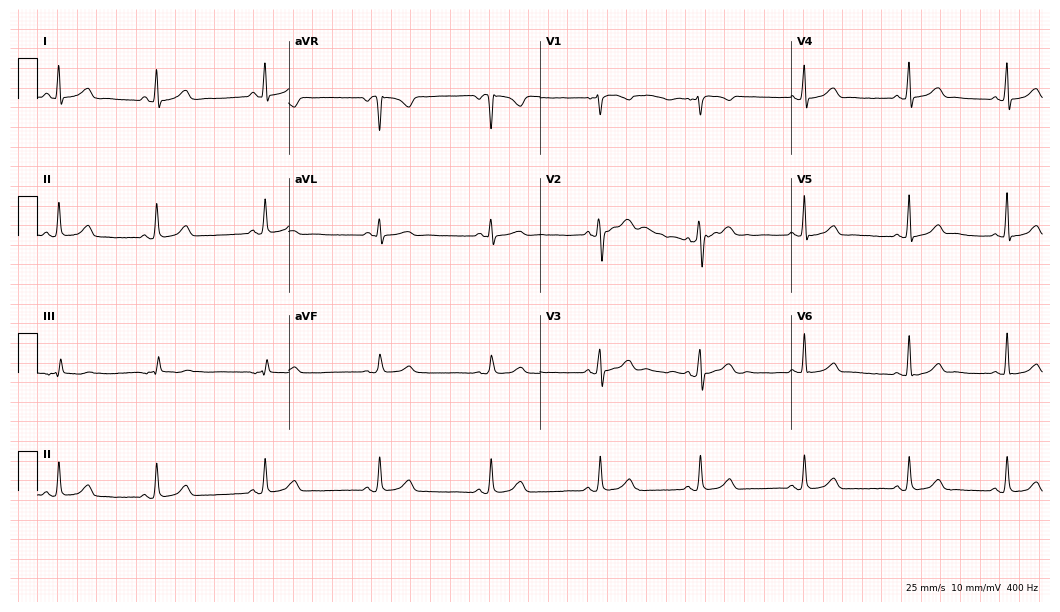
ECG — a 21-year-old woman. Labelled as a normal ECG.